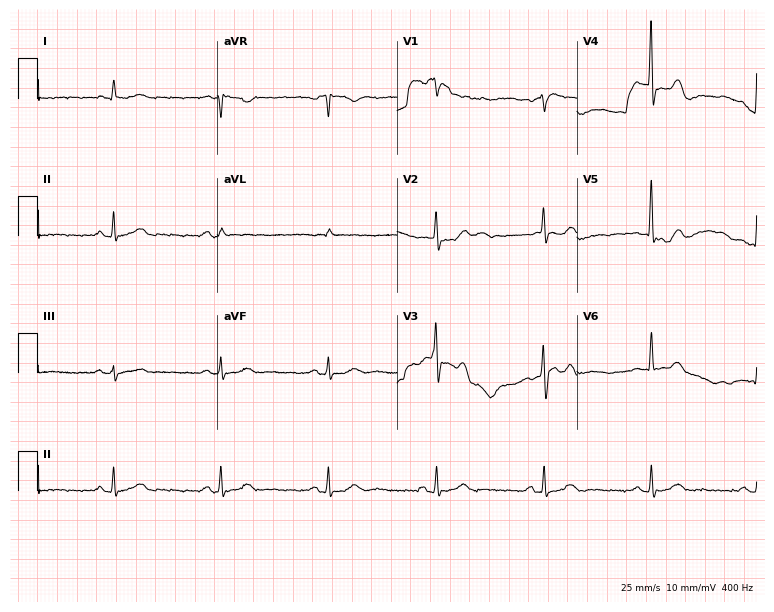
12-lead ECG from a 69-year-old female patient (7.3-second recording at 400 Hz). No first-degree AV block, right bundle branch block, left bundle branch block, sinus bradycardia, atrial fibrillation or sinus tachycardia recorded for this tracing.